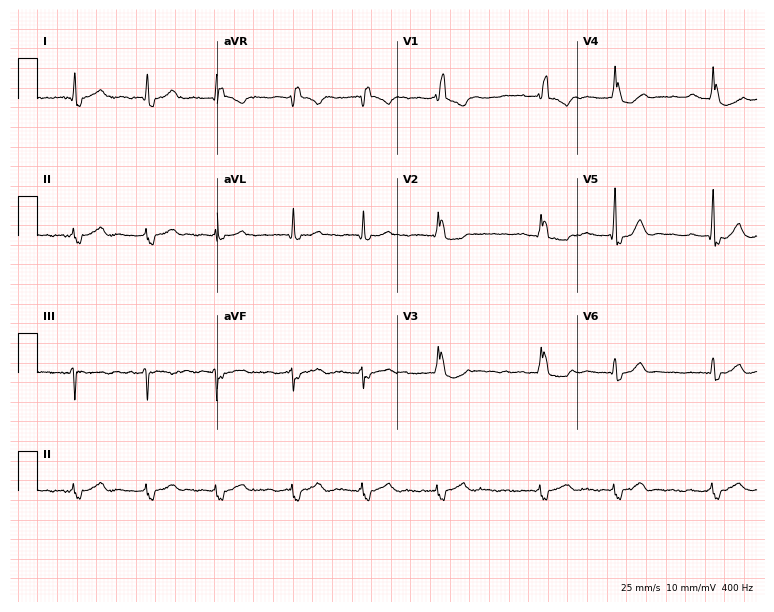
12-lead ECG (7.3-second recording at 400 Hz) from a 73-year-old male. Findings include right bundle branch block, atrial fibrillation.